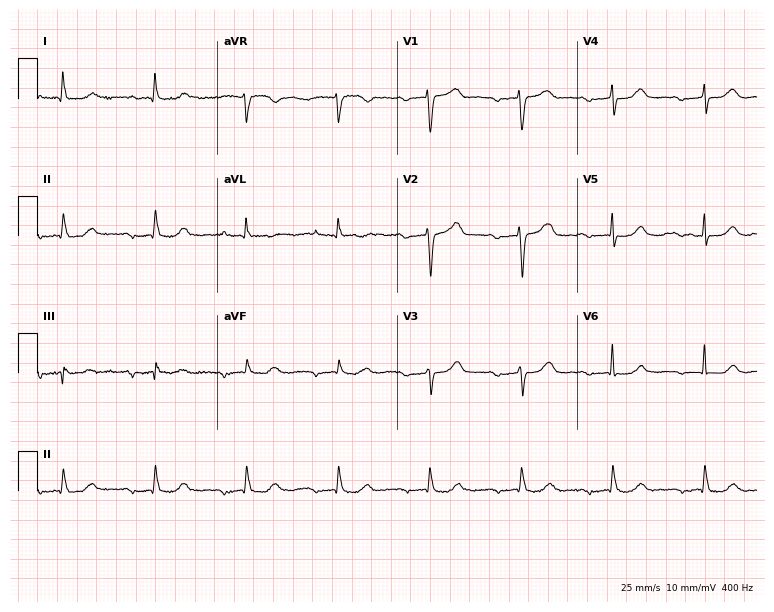
Electrocardiogram, an 83-year-old female patient. Interpretation includes first-degree AV block.